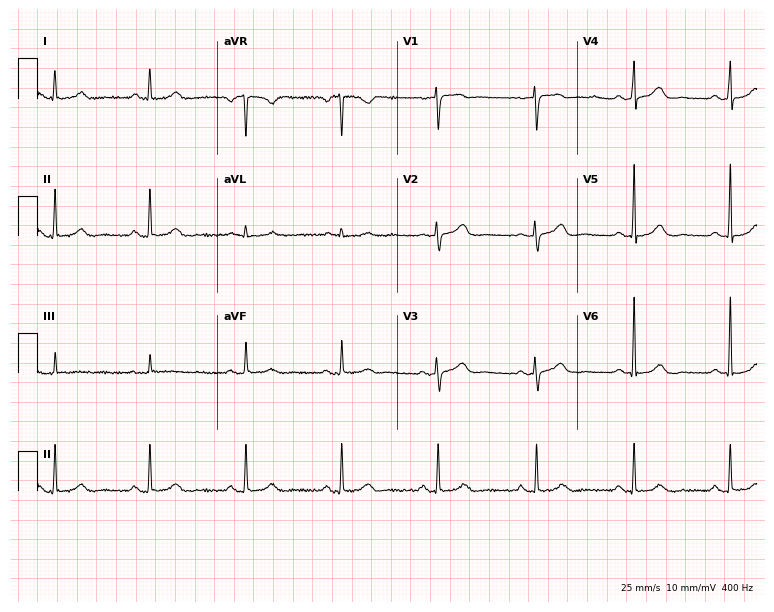
Resting 12-lead electrocardiogram. Patient: a 48-year-old female. Read as a normal ECG.